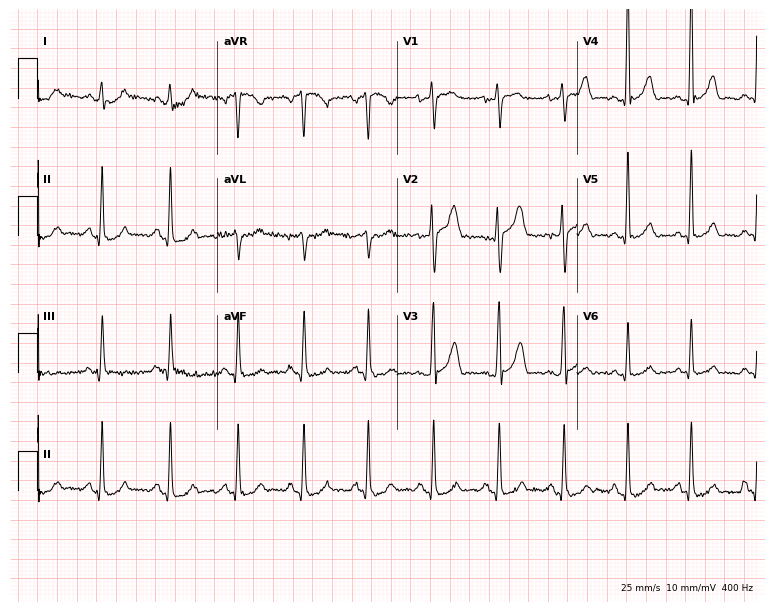
Resting 12-lead electrocardiogram (7.3-second recording at 400 Hz). Patient: a 36-year-old woman. Read as a normal ECG.